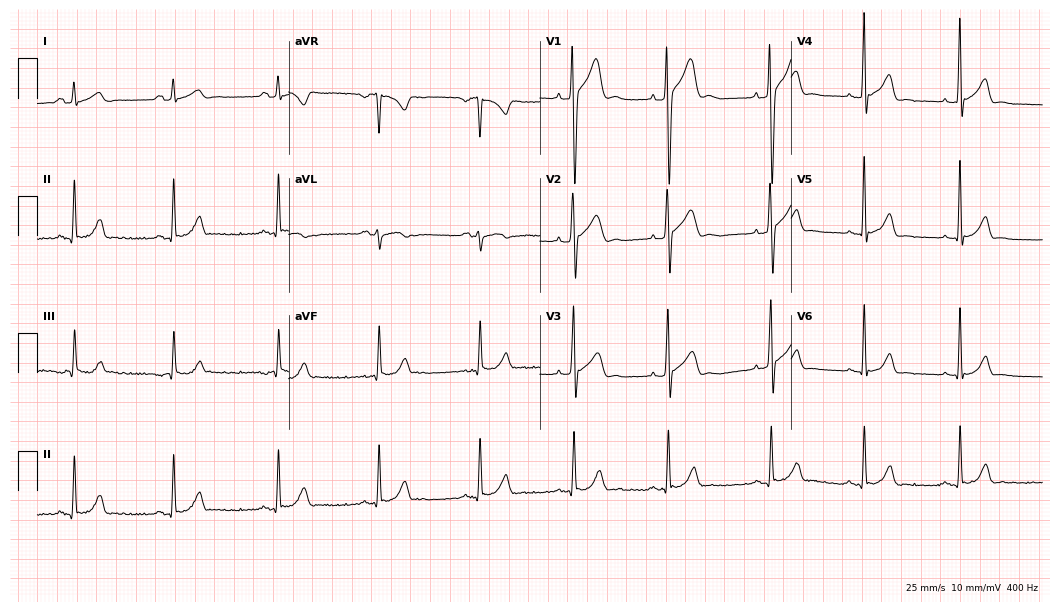
Standard 12-lead ECG recorded from a 20-year-old male (10.2-second recording at 400 Hz). None of these six findings is recorded: first-degree AV block, right bundle branch block (RBBB), left bundle branch block (LBBB), sinus bradycardia, atrial fibrillation (AF), sinus tachycardia. Other findings, if any, are not listed.